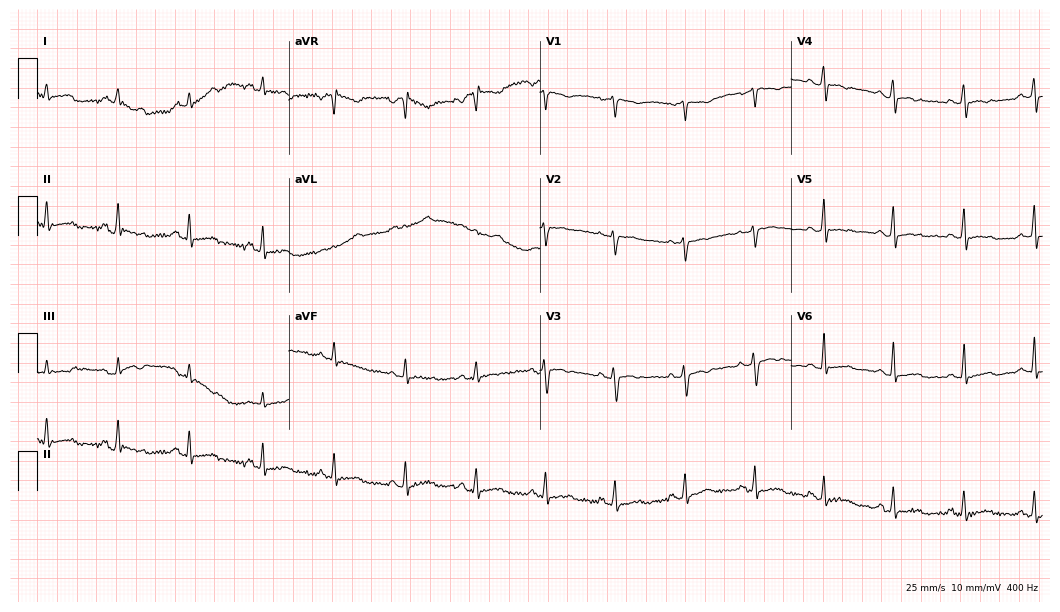
12-lead ECG from a 22-year-old female patient. Labelled as a normal ECG.